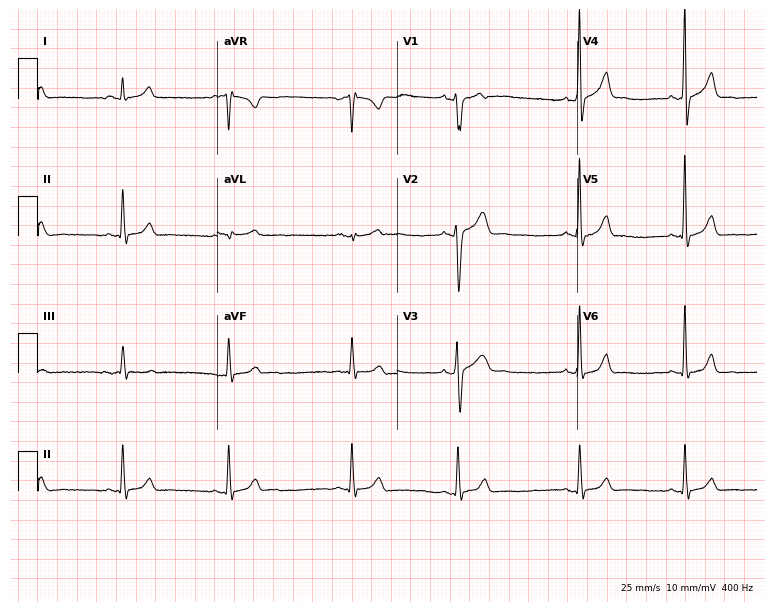
ECG (7.3-second recording at 400 Hz) — a 23-year-old male patient. Labelled as a normal ECG.